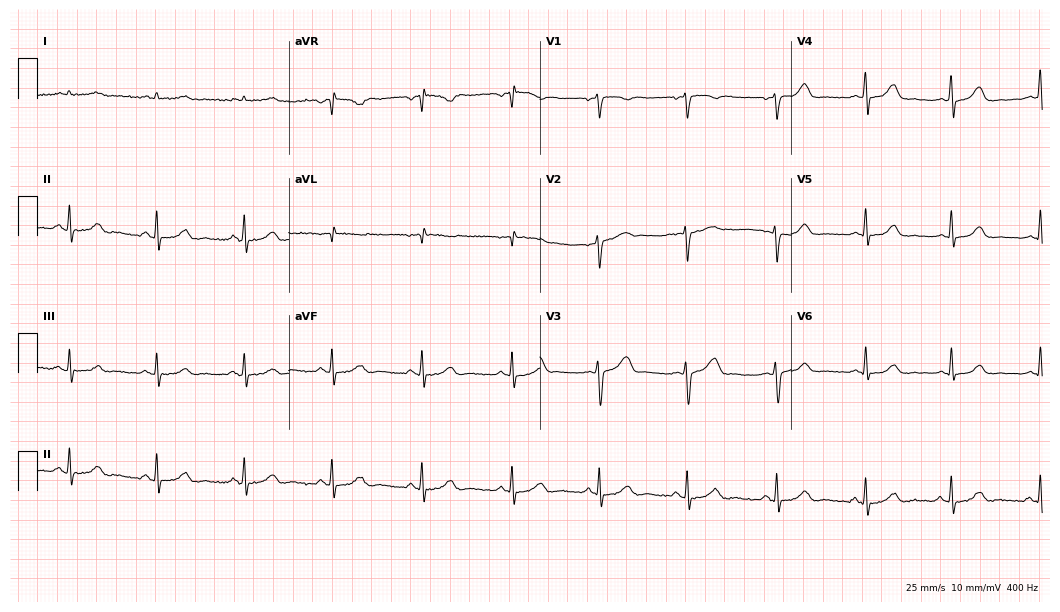
ECG — a 46-year-old female patient. Labelled as a normal ECG.